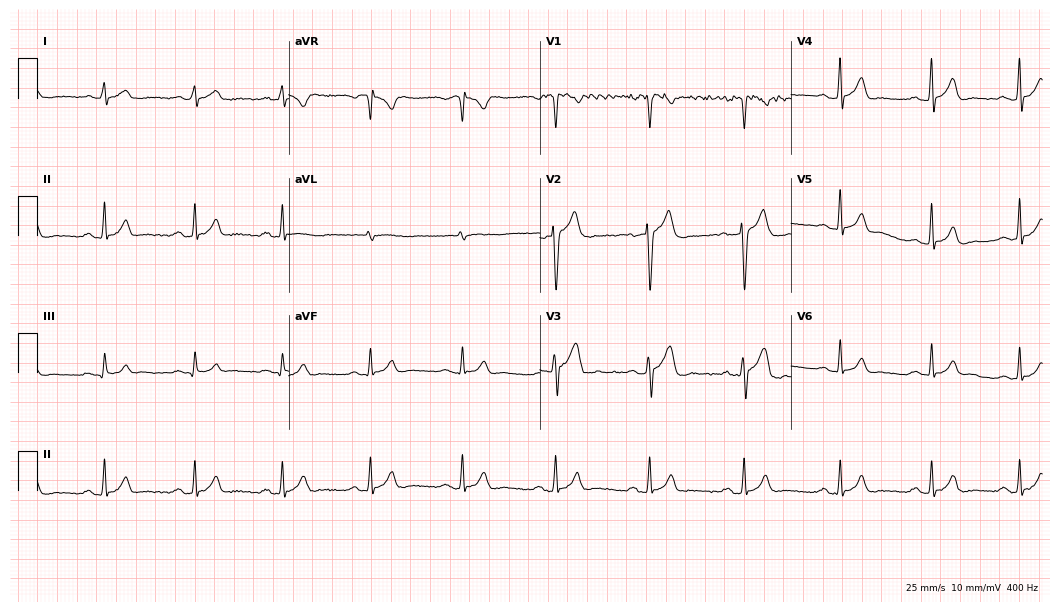
12-lead ECG from a male, 24 years old. Recorded interpretation: within normal limits.